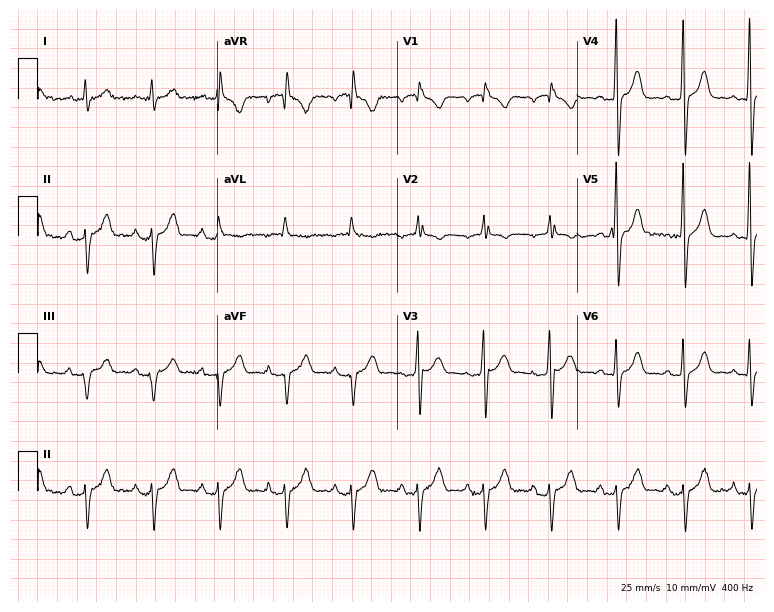
12-lead ECG (7.3-second recording at 400 Hz) from a male patient, 62 years old. Screened for six findings — first-degree AV block, right bundle branch block (RBBB), left bundle branch block (LBBB), sinus bradycardia, atrial fibrillation (AF), sinus tachycardia — none is recorded. Other findings, if any, are not listed.